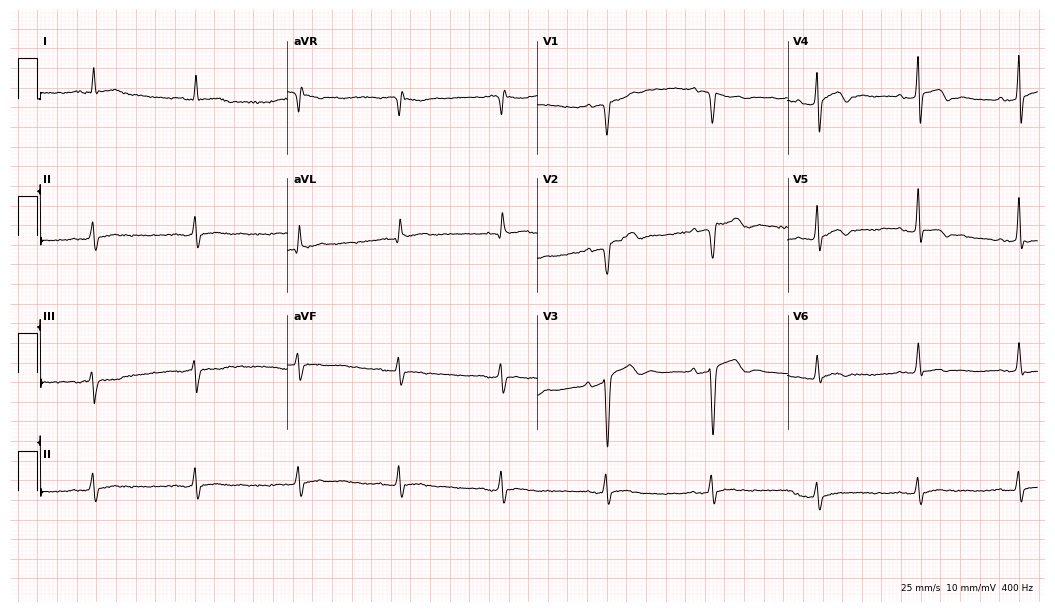
12-lead ECG from a male, 52 years old. No first-degree AV block, right bundle branch block, left bundle branch block, sinus bradycardia, atrial fibrillation or sinus tachycardia recorded for this tracing. Only these six findings were labelled.